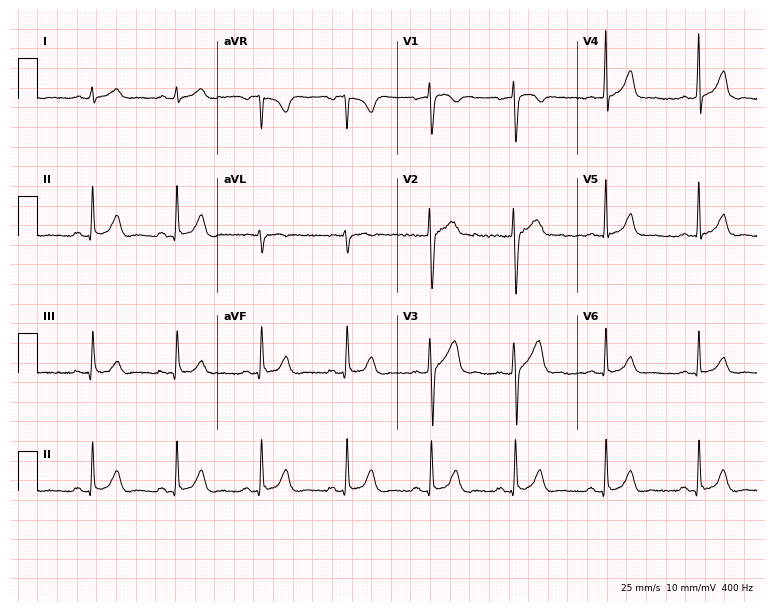
Standard 12-lead ECG recorded from a man, 48 years old. None of these six findings is recorded: first-degree AV block, right bundle branch block, left bundle branch block, sinus bradycardia, atrial fibrillation, sinus tachycardia.